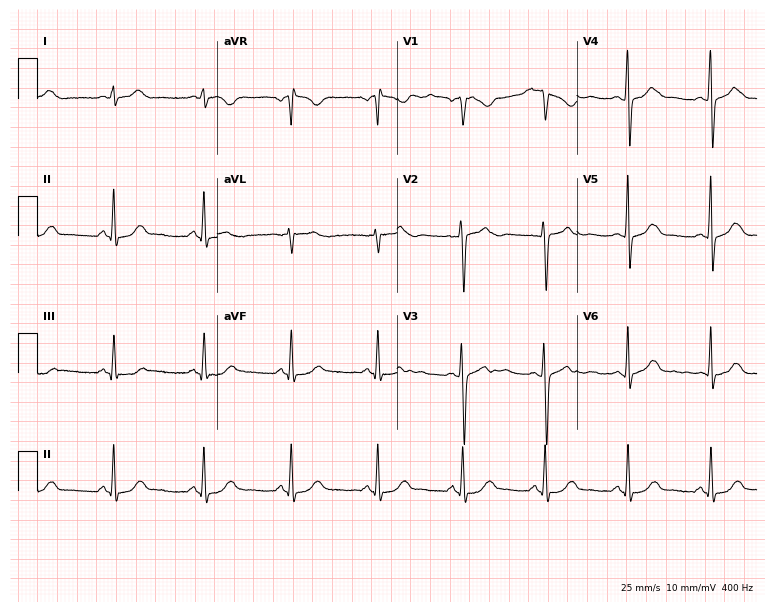
ECG — a woman, 50 years old. Screened for six findings — first-degree AV block, right bundle branch block, left bundle branch block, sinus bradycardia, atrial fibrillation, sinus tachycardia — none is recorded. Other findings, if any, are not listed.